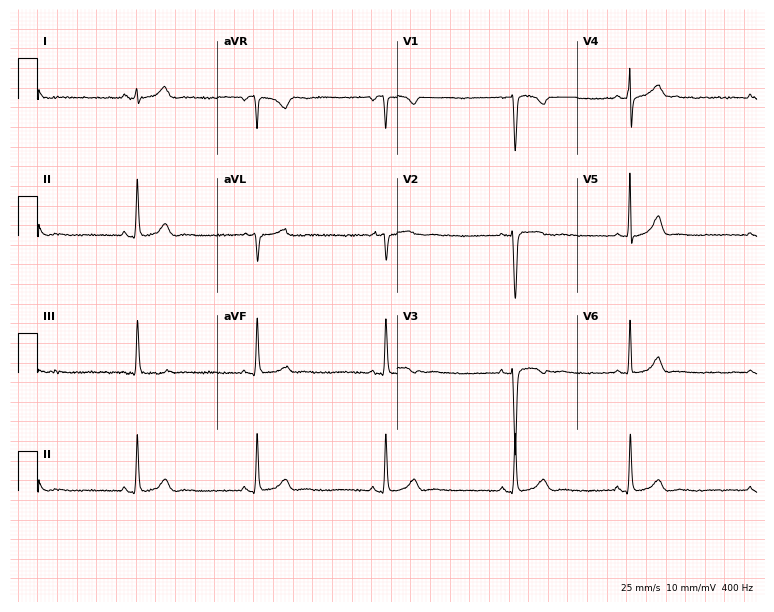
Standard 12-lead ECG recorded from a female, 22 years old. The tracing shows sinus bradycardia (a sinus rate of 50 beats per minute or less).